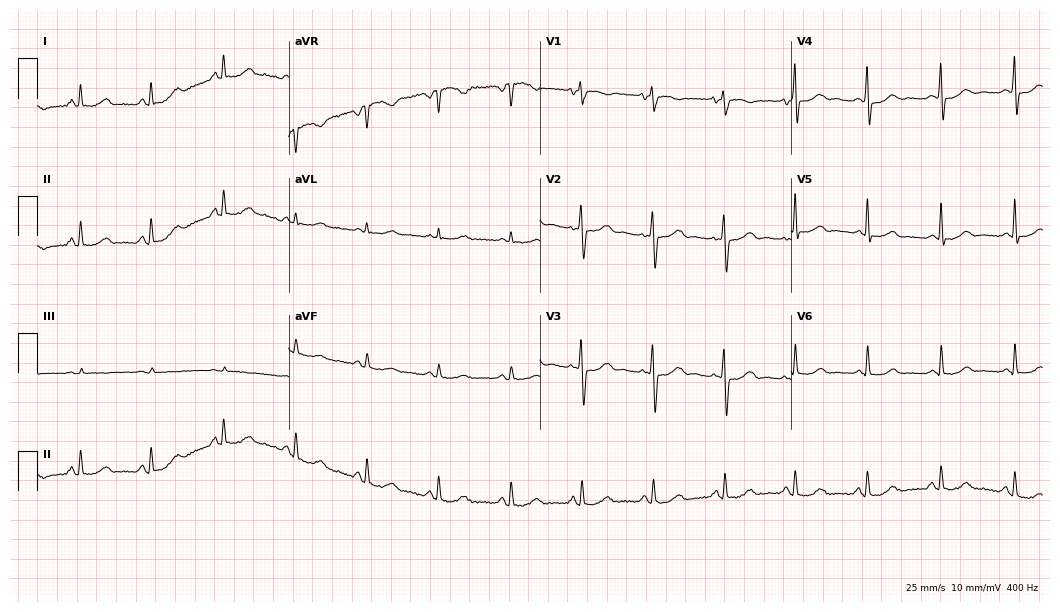
Electrocardiogram (10.2-second recording at 400 Hz), a female, 43 years old. Of the six screened findings (first-degree AV block, right bundle branch block (RBBB), left bundle branch block (LBBB), sinus bradycardia, atrial fibrillation (AF), sinus tachycardia), none is recorded. Other findings, if any, are not listed.